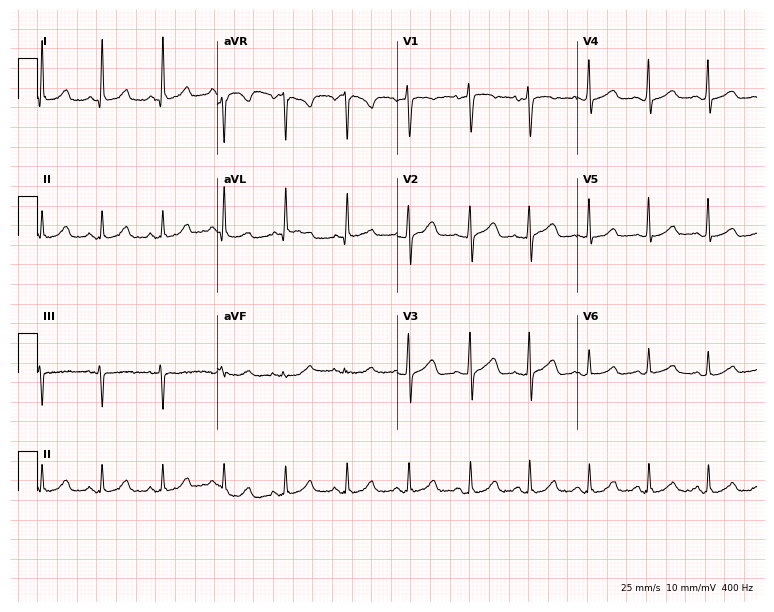
ECG (7.3-second recording at 400 Hz) — a female patient, 58 years old. Screened for six findings — first-degree AV block, right bundle branch block (RBBB), left bundle branch block (LBBB), sinus bradycardia, atrial fibrillation (AF), sinus tachycardia — none is recorded.